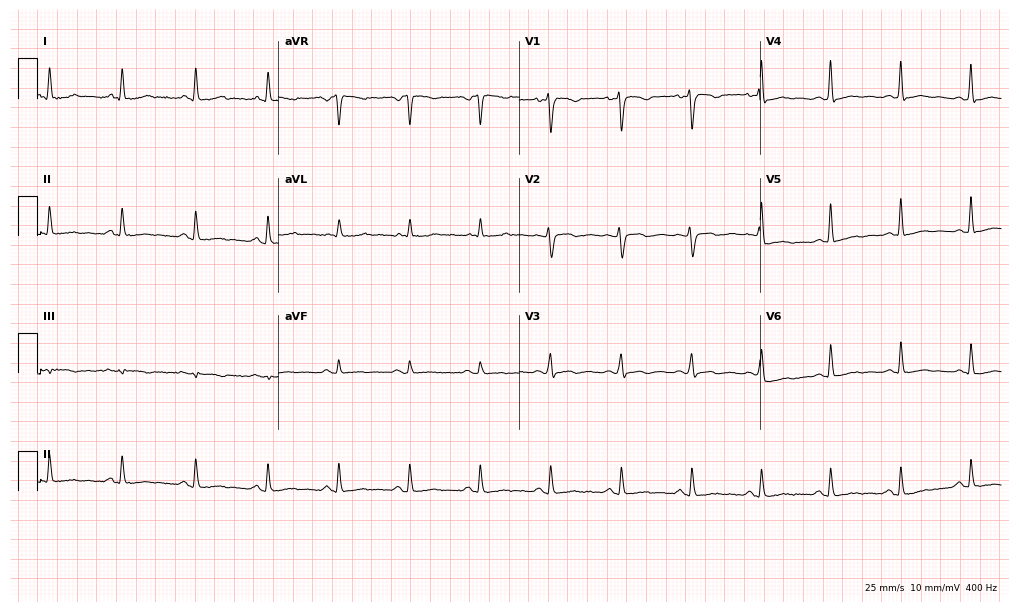
Standard 12-lead ECG recorded from a female, 44 years old. None of these six findings is recorded: first-degree AV block, right bundle branch block (RBBB), left bundle branch block (LBBB), sinus bradycardia, atrial fibrillation (AF), sinus tachycardia. Other findings, if any, are not listed.